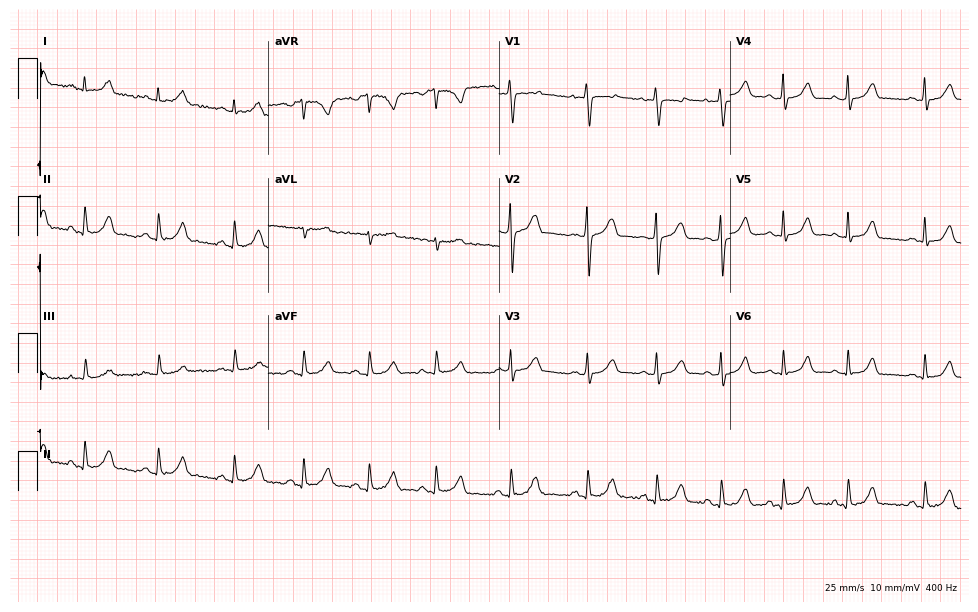
ECG (9.4-second recording at 400 Hz) — a female, 22 years old. Labelled as a normal ECG.